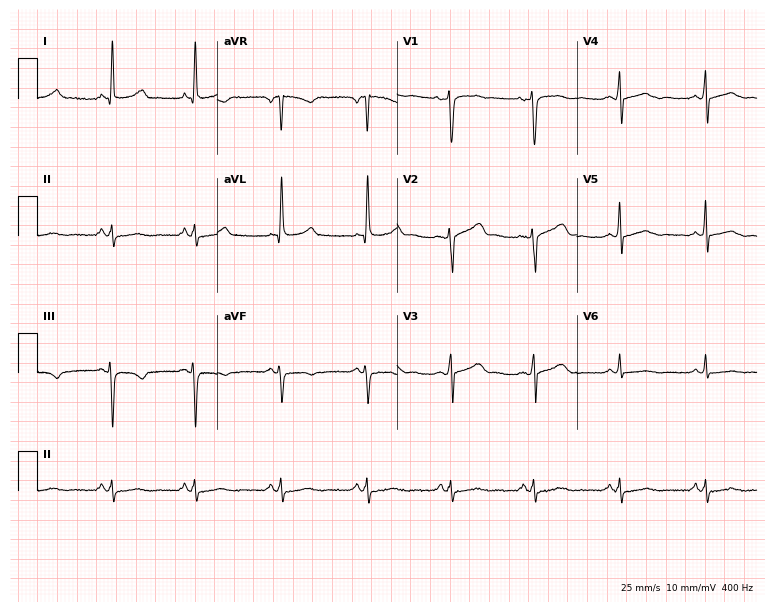
Electrocardiogram (7.3-second recording at 400 Hz), a 41-year-old female. Of the six screened findings (first-degree AV block, right bundle branch block (RBBB), left bundle branch block (LBBB), sinus bradycardia, atrial fibrillation (AF), sinus tachycardia), none is recorded. Findings outside these six are not listed.